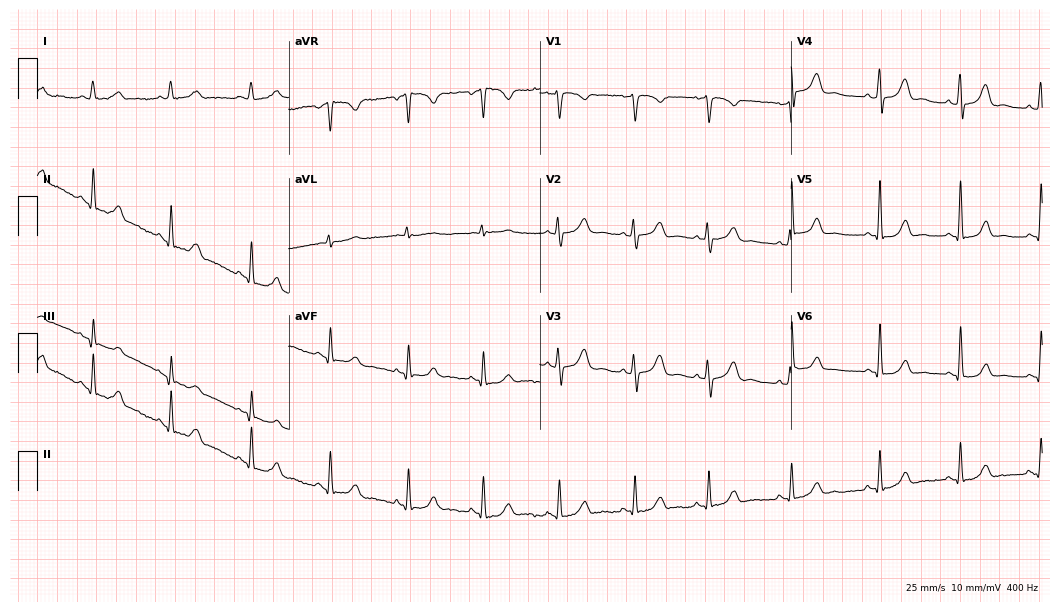
Standard 12-lead ECG recorded from a 35-year-old female. Read as a normal ECG.